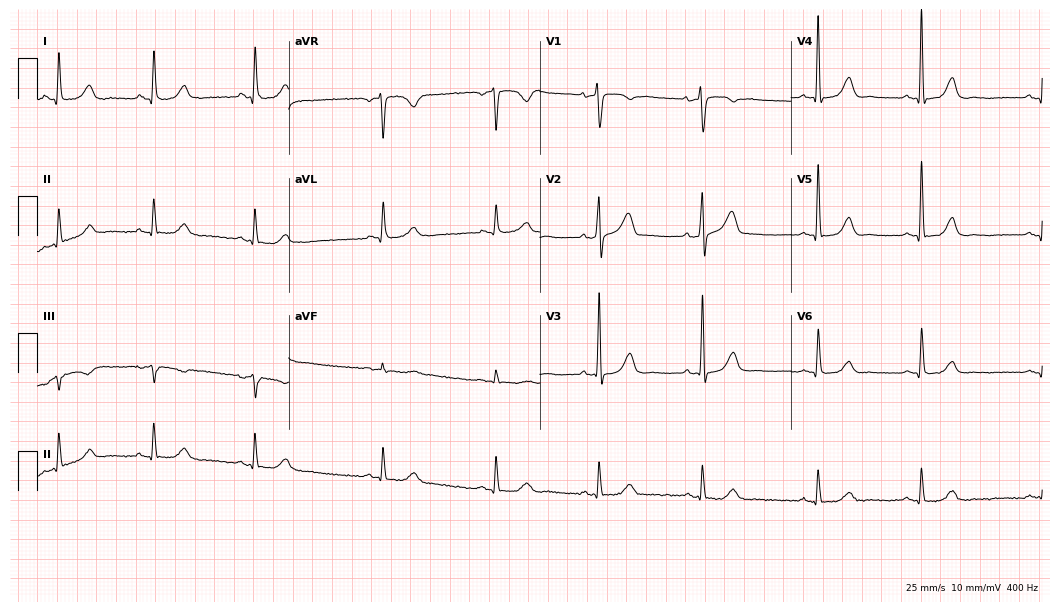
12-lead ECG from a 66-year-old female (10.2-second recording at 400 Hz). Recorded interpretation: within normal limits.